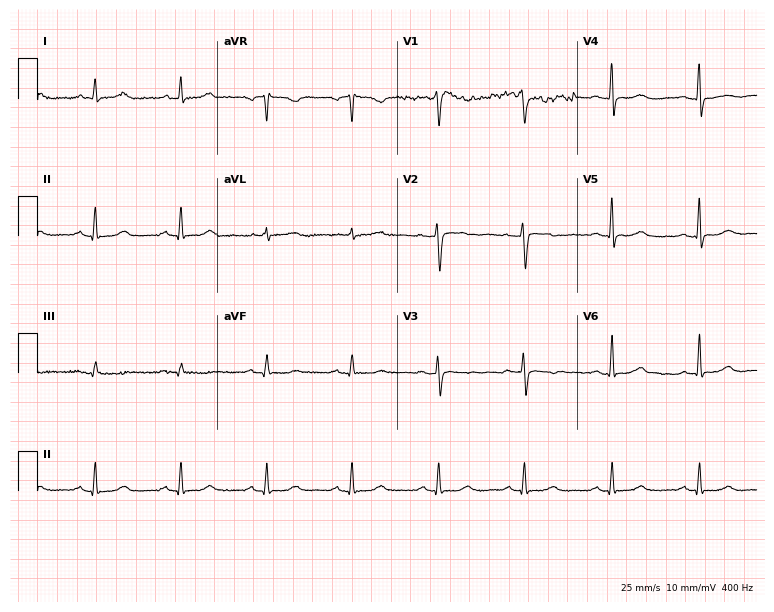
Standard 12-lead ECG recorded from a 61-year-old woman. None of these six findings is recorded: first-degree AV block, right bundle branch block (RBBB), left bundle branch block (LBBB), sinus bradycardia, atrial fibrillation (AF), sinus tachycardia.